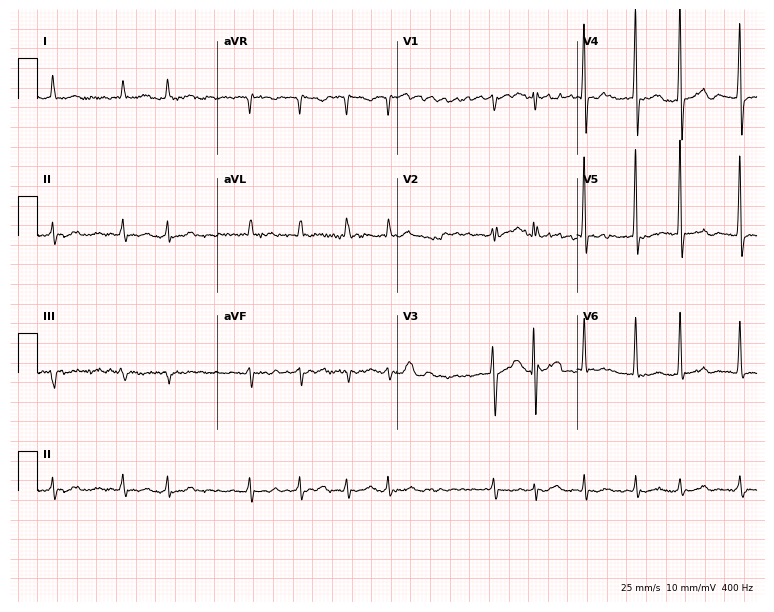
Resting 12-lead electrocardiogram (7.3-second recording at 400 Hz). Patient: a male, 60 years old. The tracing shows atrial fibrillation.